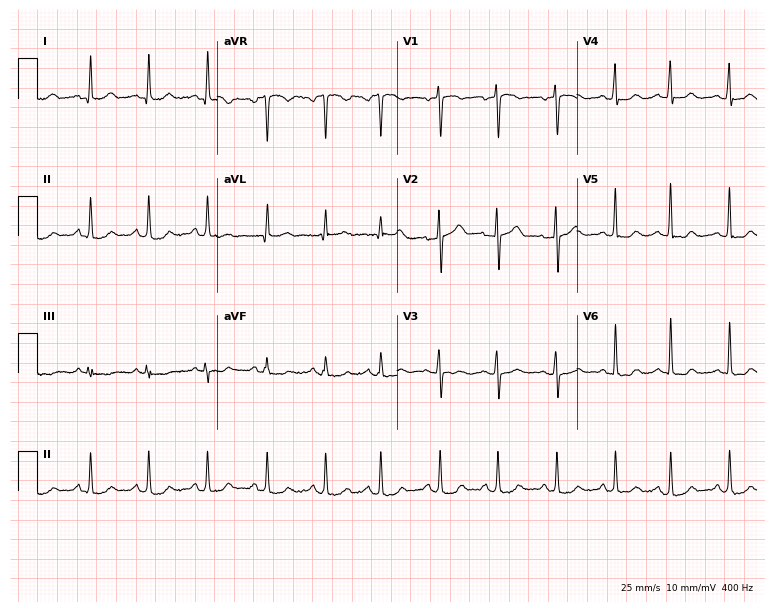
Resting 12-lead electrocardiogram (7.3-second recording at 400 Hz). Patient: a 36-year-old female. The tracing shows sinus tachycardia (a sinus rate of 100 beats per minute or more).